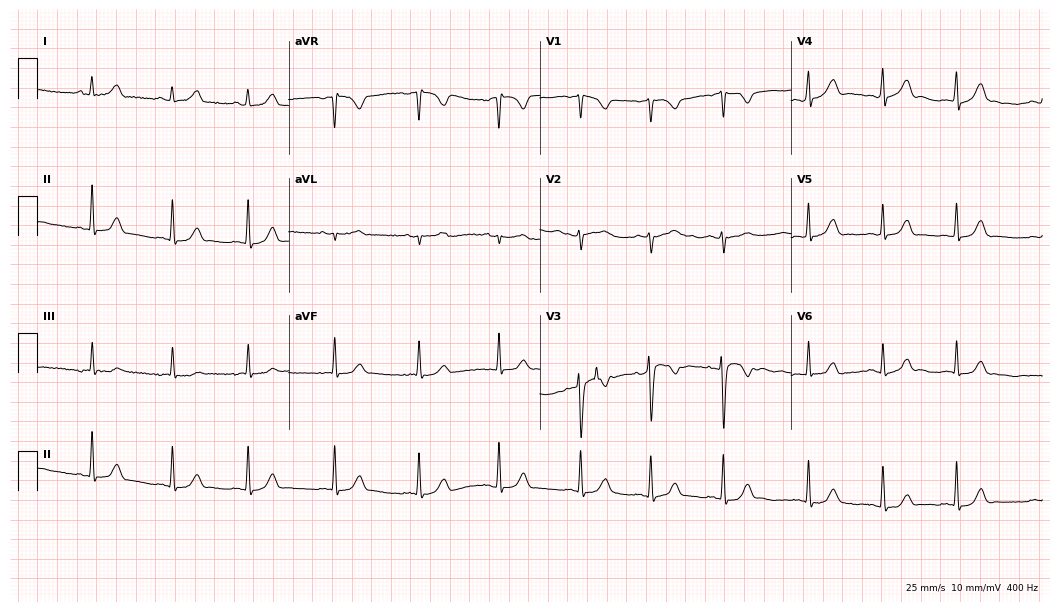
ECG (10.2-second recording at 400 Hz) — a 17-year-old woman. Labelled as a normal ECG.